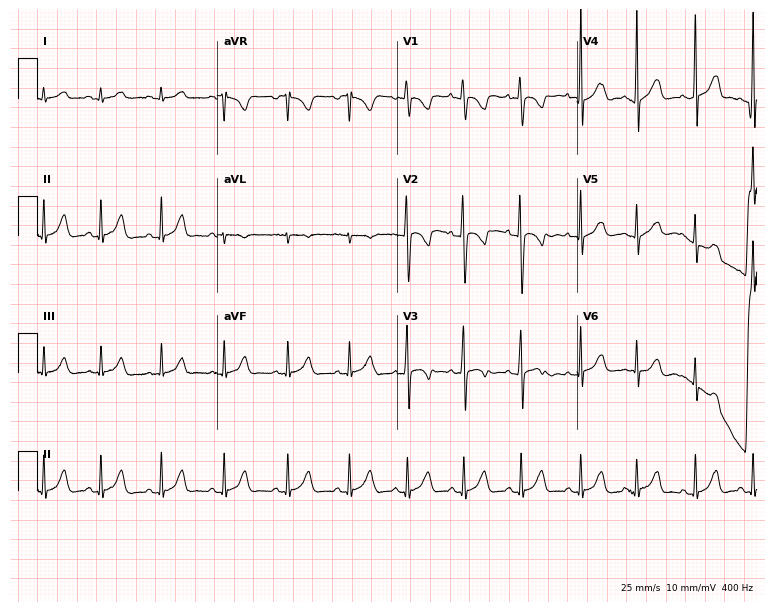
Resting 12-lead electrocardiogram. Patient: a man, 17 years old. None of these six findings is recorded: first-degree AV block, right bundle branch block (RBBB), left bundle branch block (LBBB), sinus bradycardia, atrial fibrillation (AF), sinus tachycardia.